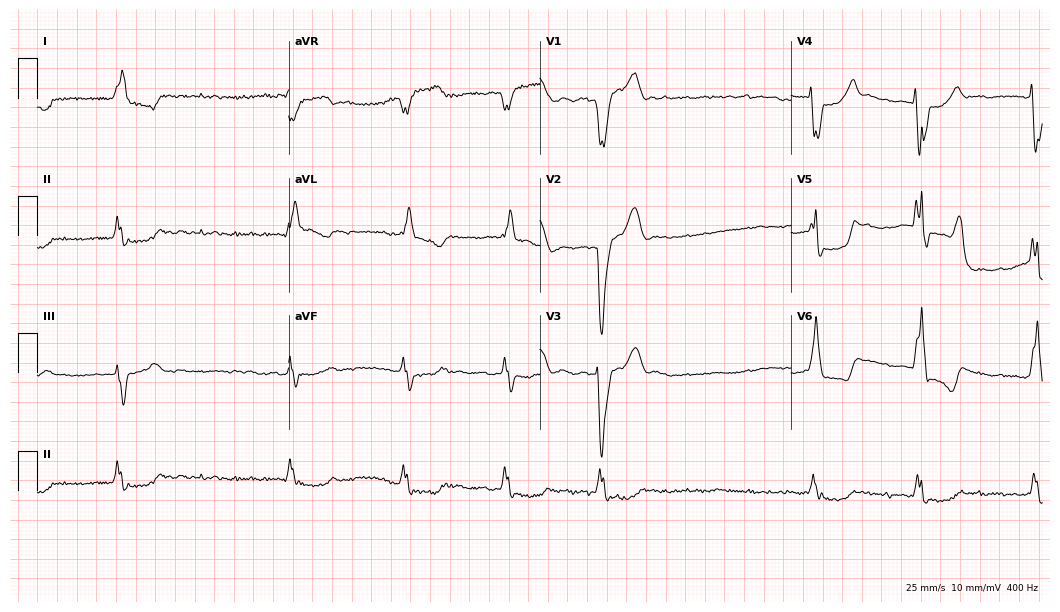
12-lead ECG (10.2-second recording at 400 Hz) from a 65-year-old male patient. Findings include left bundle branch block, atrial fibrillation.